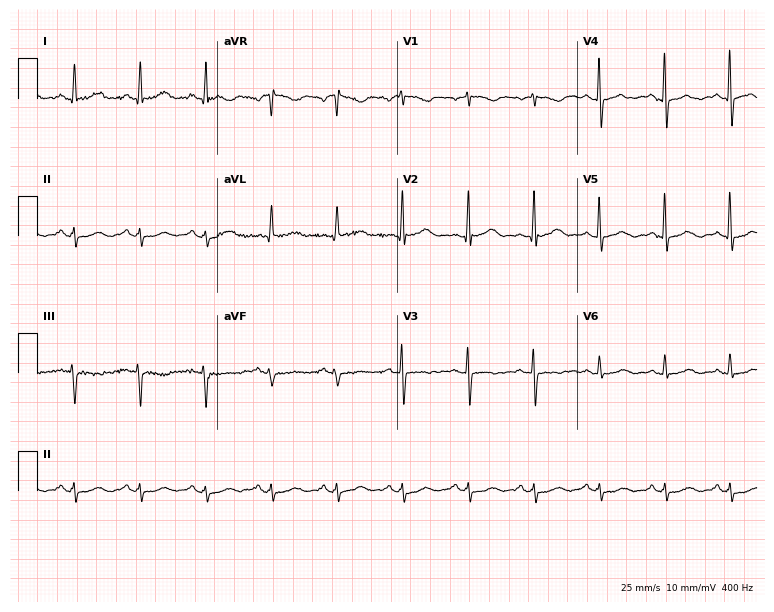
Resting 12-lead electrocardiogram. Patient: a 65-year-old female. None of these six findings is recorded: first-degree AV block, right bundle branch block (RBBB), left bundle branch block (LBBB), sinus bradycardia, atrial fibrillation (AF), sinus tachycardia. Only these six findings were labelled.